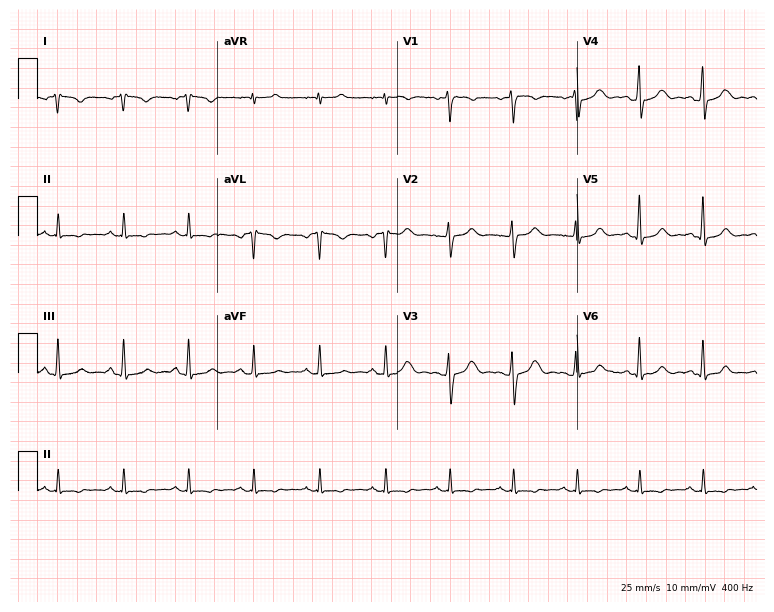
12-lead ECG from a 36-year-old female. Screened for six findings — first-degree AV block, right bundle branch block, left bundle branch block, sinus bradycardia, atrial fibrillation, sinus tachycardia — none is recorded. Only these six findings were labelled.